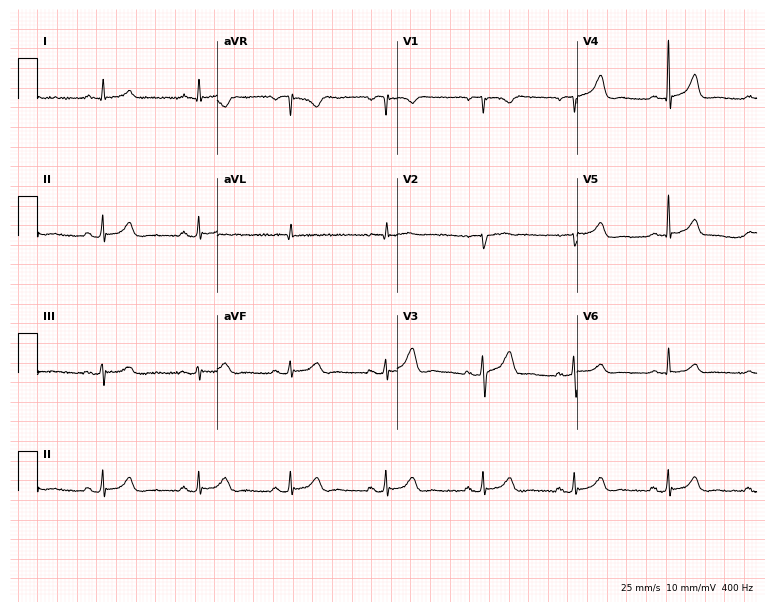
Electrocardiogram (7.3-second recording at 400 Hz), an 81-year-old female patient. Of the six screened findings (first-degree AV block, right bundle branch block, left bundle branch block, sinus bradycardia, atrial fibrillation, sinus tachycardia), none is recorded. Only these six findings were labelled.